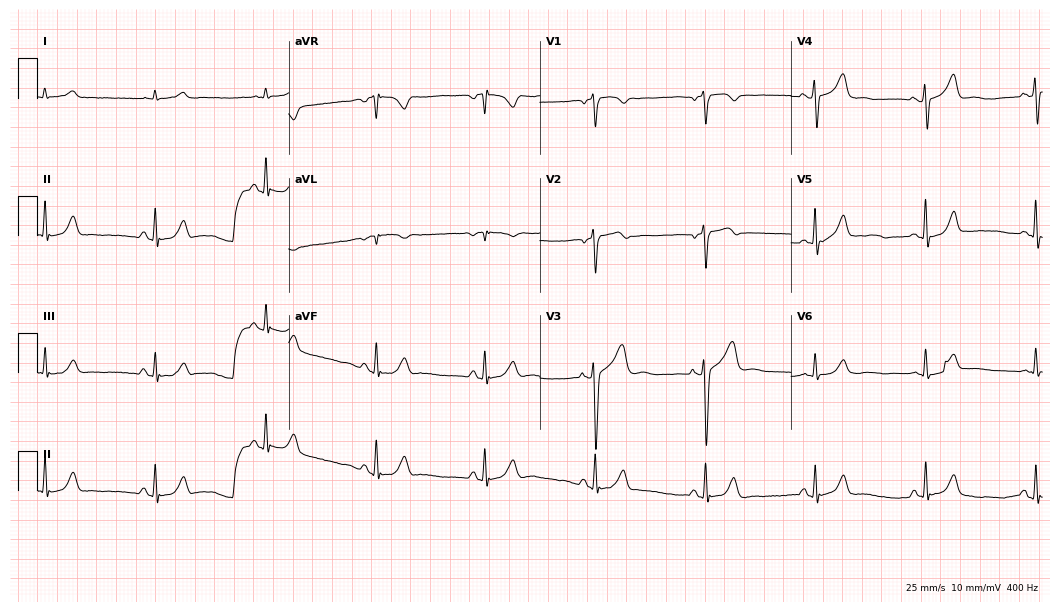
ECG — a male, 75 years old. Labelled as a normal ECG.